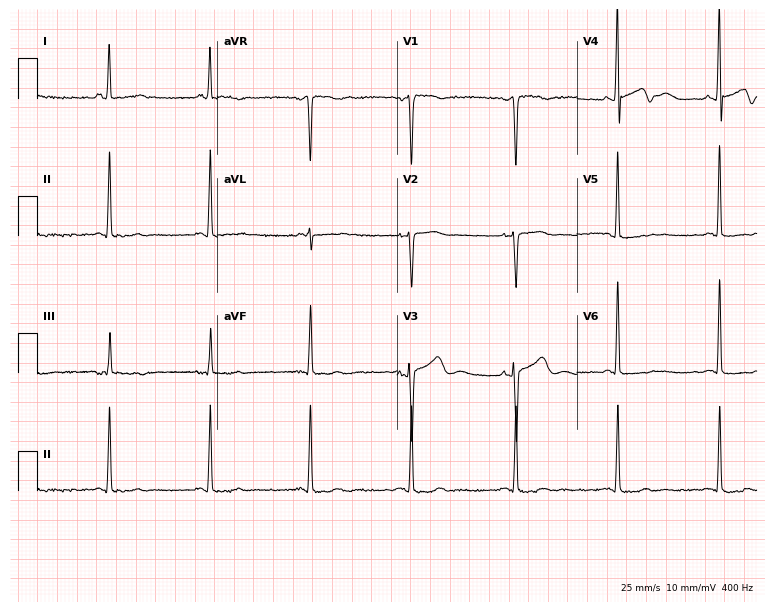
Standard 12-lead ECG recorded from a female patient, 46 years old. None of these six findings is recorded: first-degree AV block, right bundle branch block, left bundle branch block, sinus bradycardia, atrial fibrillation, sinus tachycardia. Findings outside these six are not listed.